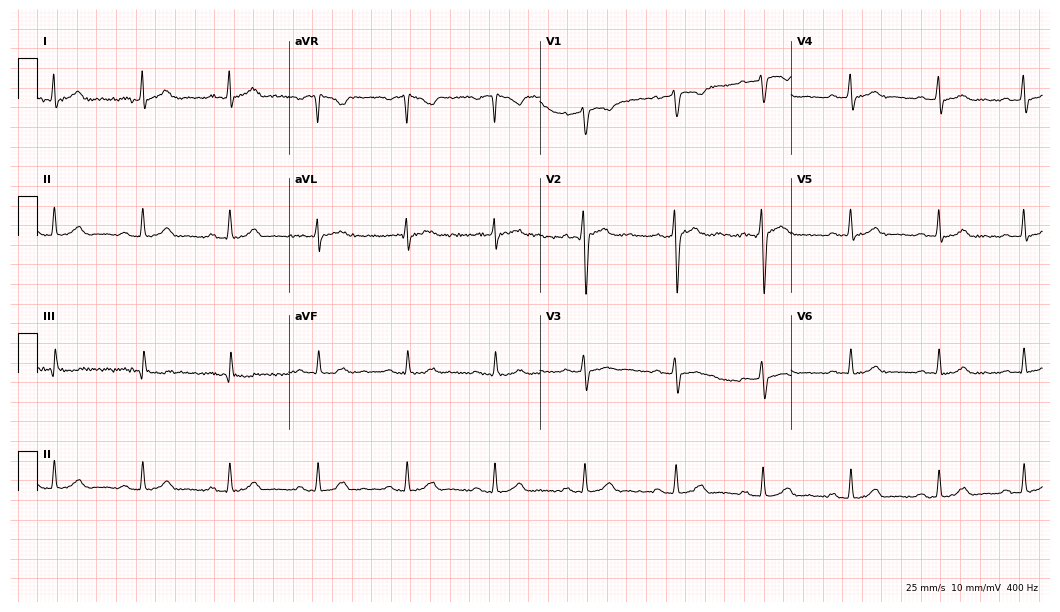
ECG — a woman, 34 years old. Labelled as a normal ECG.